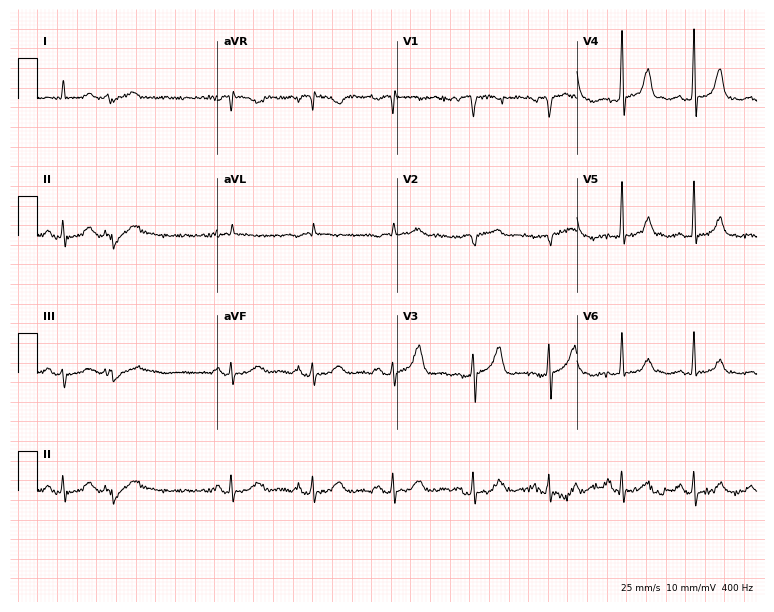
Electrocardiogram (7.3-second recording at 400 Hz), an 83-year-old man. Of the six screened findings (first-degree AV block, right bundle branch block (RBBB), left bundle branch block (LBBB), sinus bradycardia, atrial fibrillation (AF), sinus tachycardia), none is recorded.